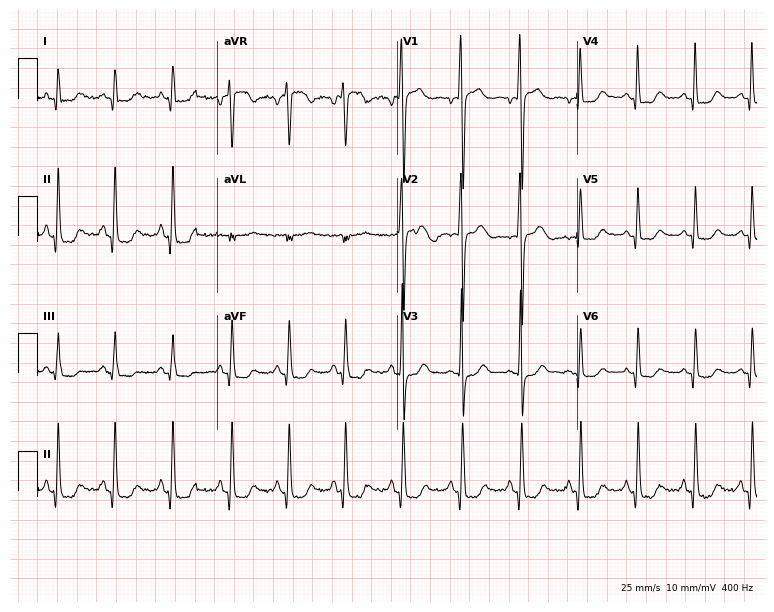
Resting 12-lead electrocardiogram (7.3-second recording at 400 Hz). Patient: a 34-year-old woman. None of these six findings is recorded: first-degree AV block, right bundle branch block, left bundle branch block, sinus bradycardia, atrial fibrillation, sinus tachycardia. Other findings, if any, are not listed.